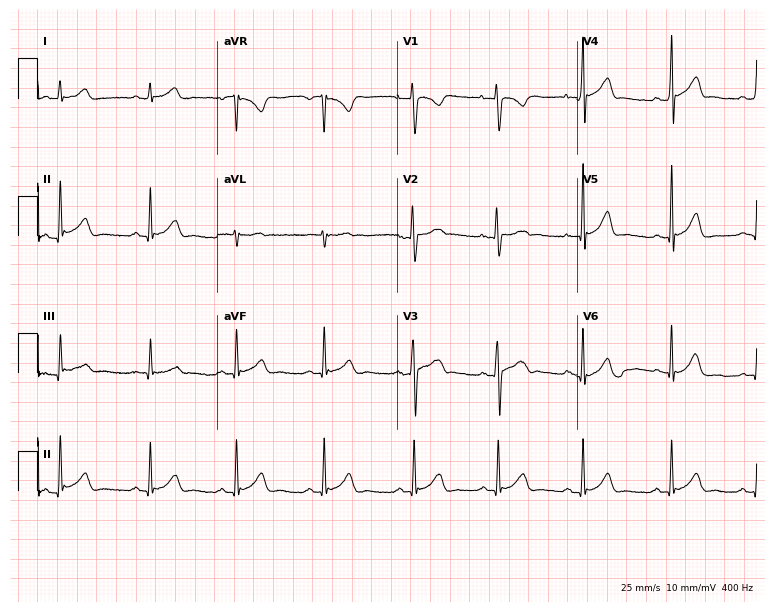
Electrocardiogram (7.3-second recording at 400 Hz), a 26-year-old man. Overall reading on record: normal ECG.